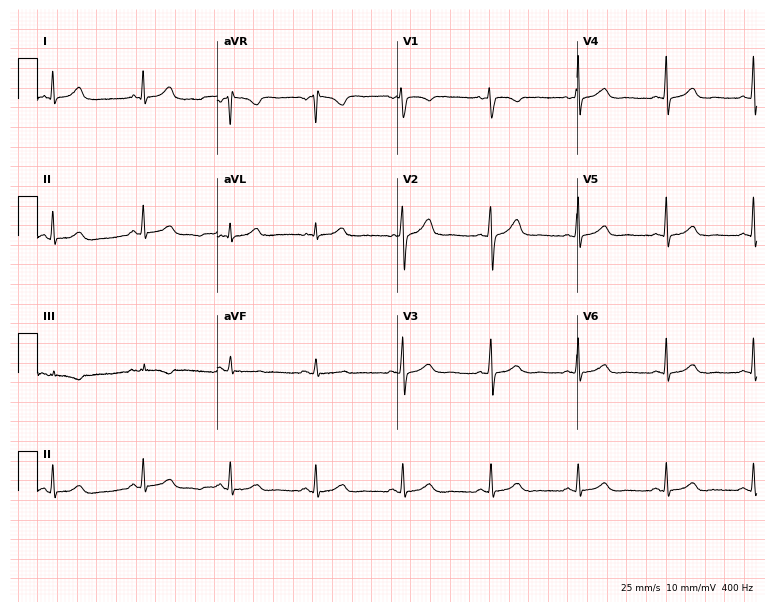
ECG — a female, 42 years old. Labelled as a normal ECG.